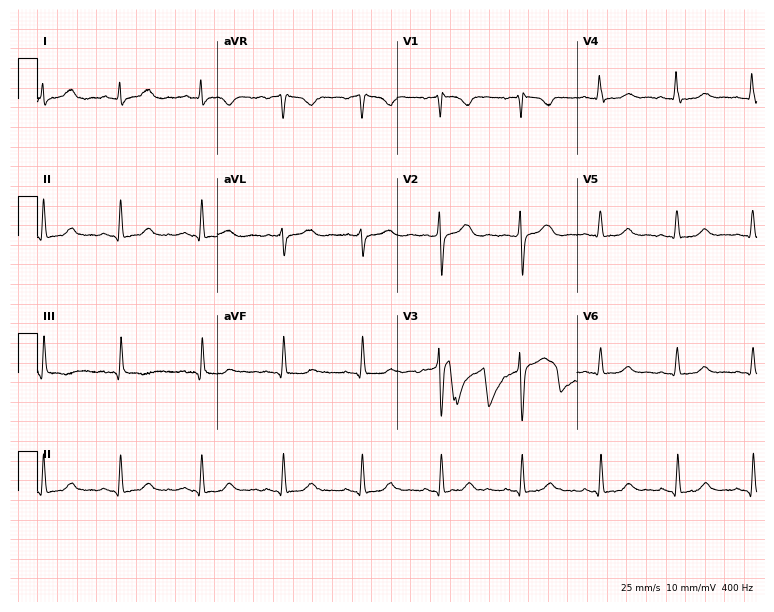
Standard 12-lead ECG recorded from a female patient, 54 years old (7.3-second recording at 400 Hz). None of these six findings is recorded: first-degree AV block, right bundle branch block, left bundle branch block, sinus bradycardia, atrial fibrillation, sinus tachycardia. Only these six findings were labelled.